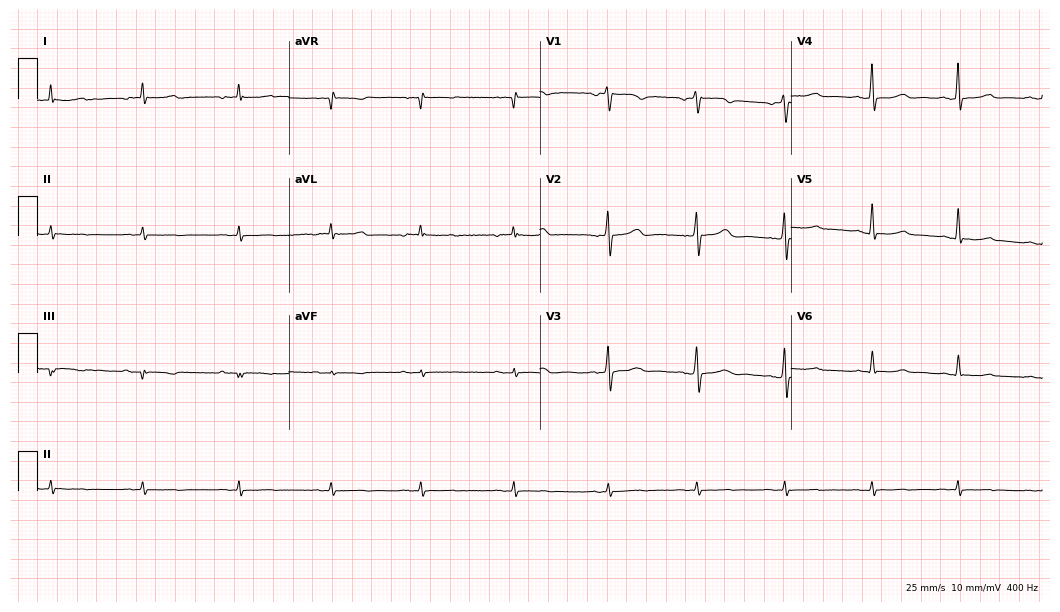
12-lead ECG from a 70-year-old female patient. No first-degree AV block, right bundle branch block, left bundle branch block, sinus bradycardia, atrial fibrillation or sinus tachycardia recorded for this tracing.